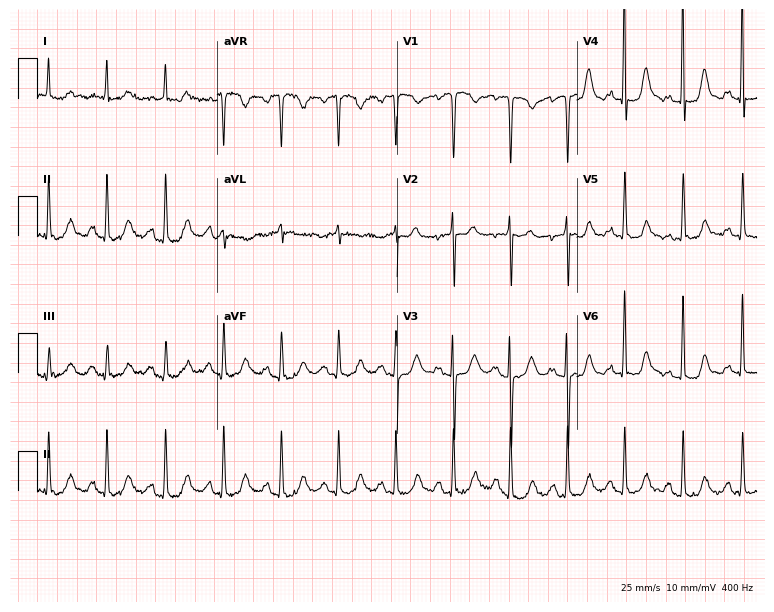
12-lead ECG from a female patient, 84 years old. Shows sinus tachycardia (a sinus rate of 100 beats per minute or more).